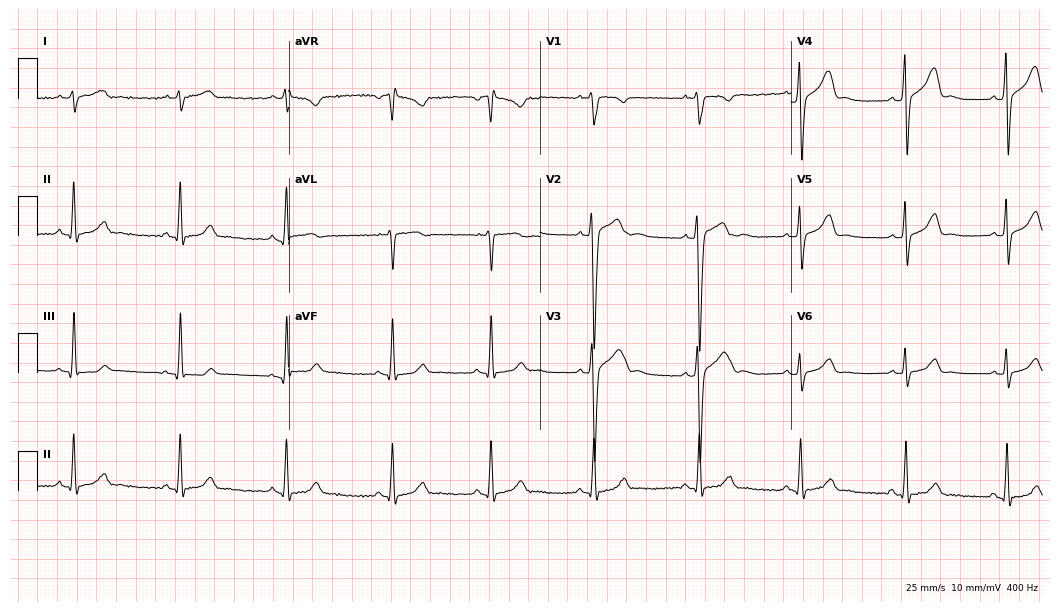
Electrocardiogram, a male, 32 years old. Overall reading on record: normal ECG.